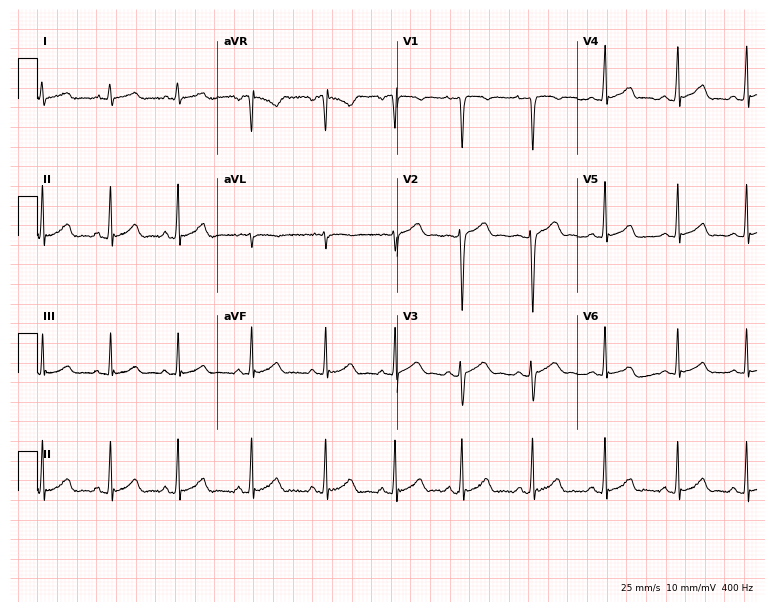
ECG (7.3-second recording at 400 Hz) — a female, 19 years old. Labelled as a normal ECG.